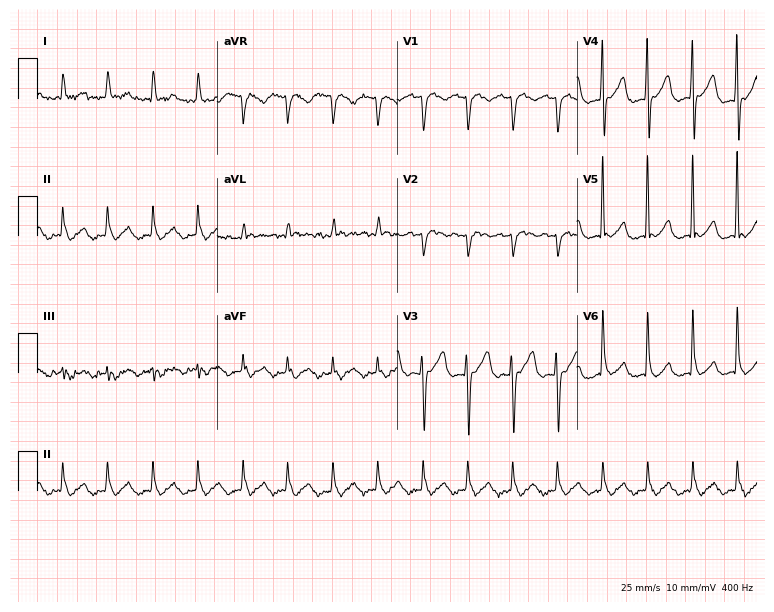
Resting 12-lead electrocardiogram (7.3-second recording at 400 Hz). Patient: a 79-year-old woman. None of these six findings is recorded: first-degree AV block, right bundle branch block, left bundle branch block, sinus bradycardia, atrial fibrillation, sinus tachycardia. Other findings, if any, are not listed.